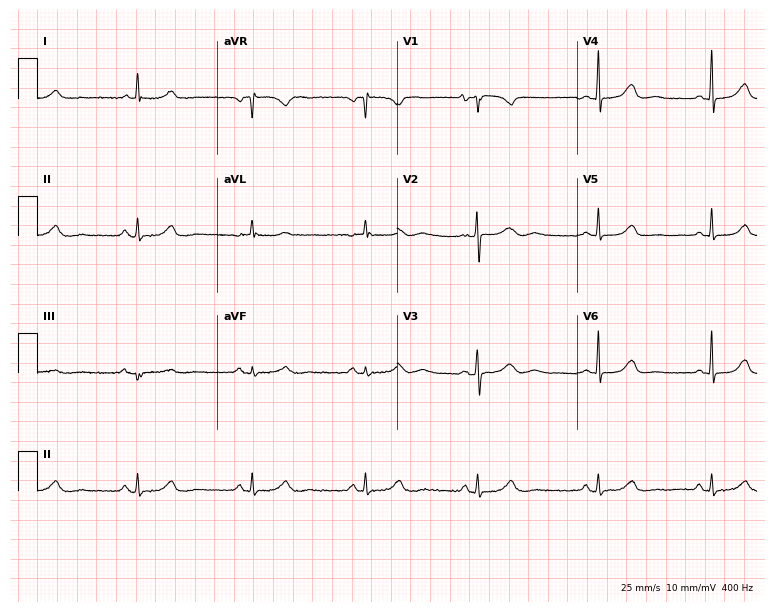
ECG — a female patient, 68 years old. Labelled as a normal ECG.